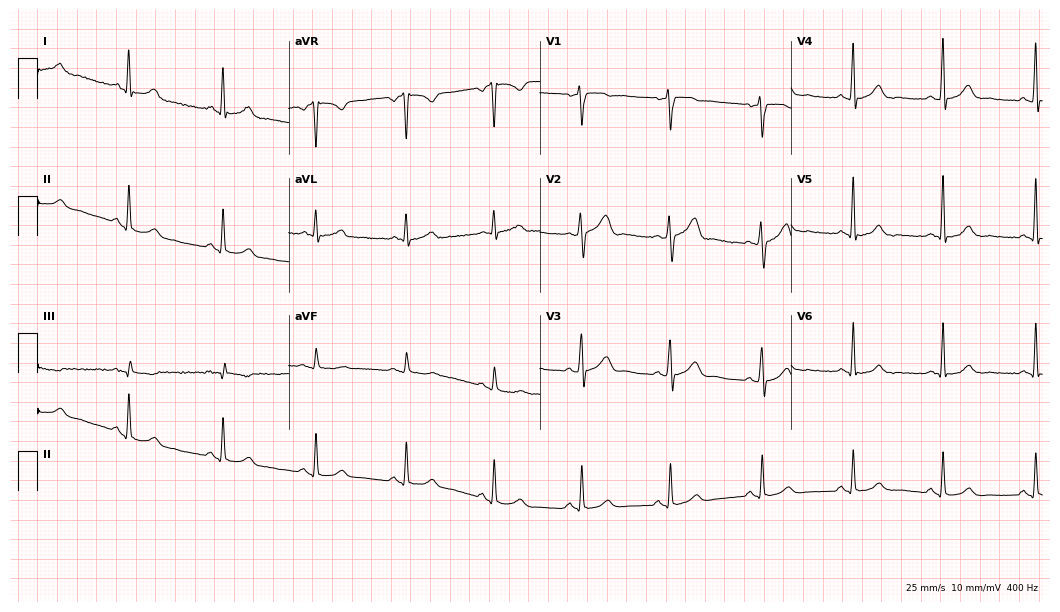
12-lead ECG from a 44-year-old male (10.2-second recording at 400 Hz). Recorded interpretation: within normal limits.